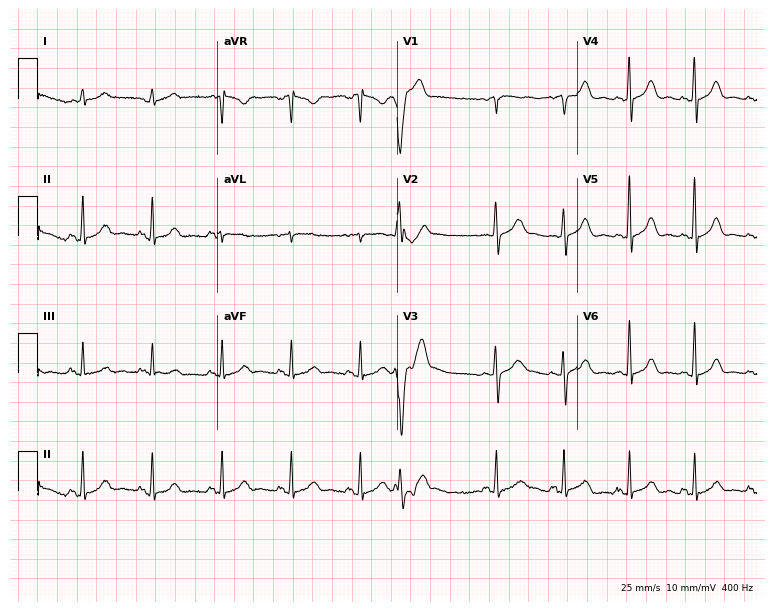
12-lead ECG (7.3-second recording at 400 Hz) from a female patient, 70 years old. Labelled as a normal ECG.